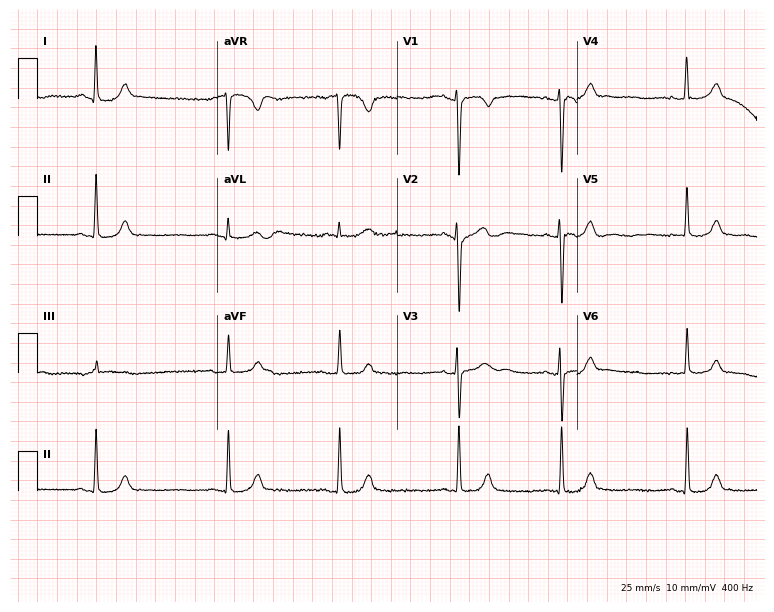
12-lead ECG (7.3-second recording at 400 Hz) from a 33-year-old woman. Labelled as a normal ECG.